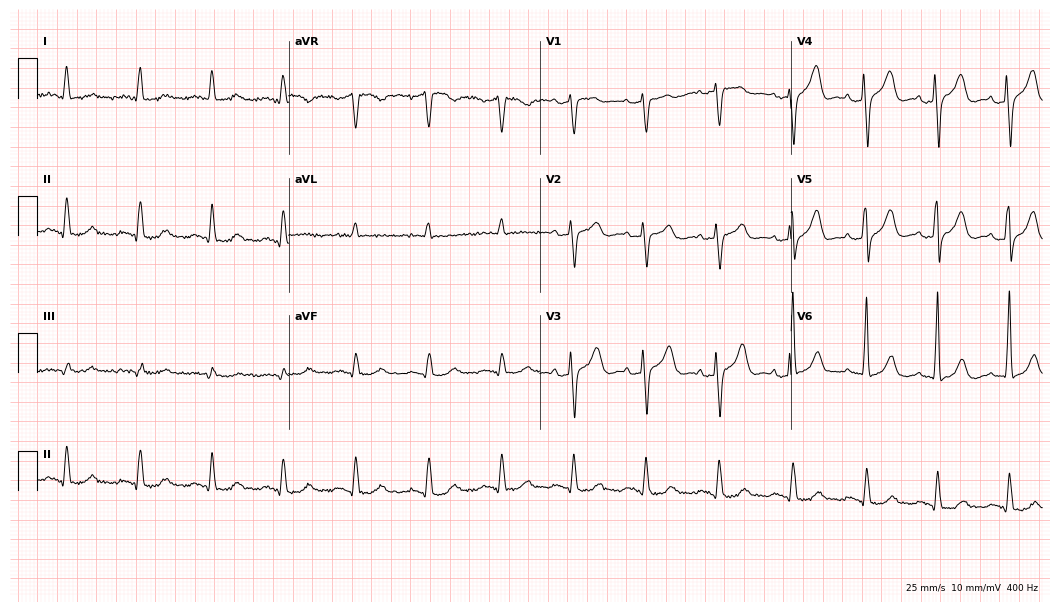
12-lead ECG from a female, 60 years old (10.2-second recording at 400 Hz). Recorded interpretation: within normal limits.